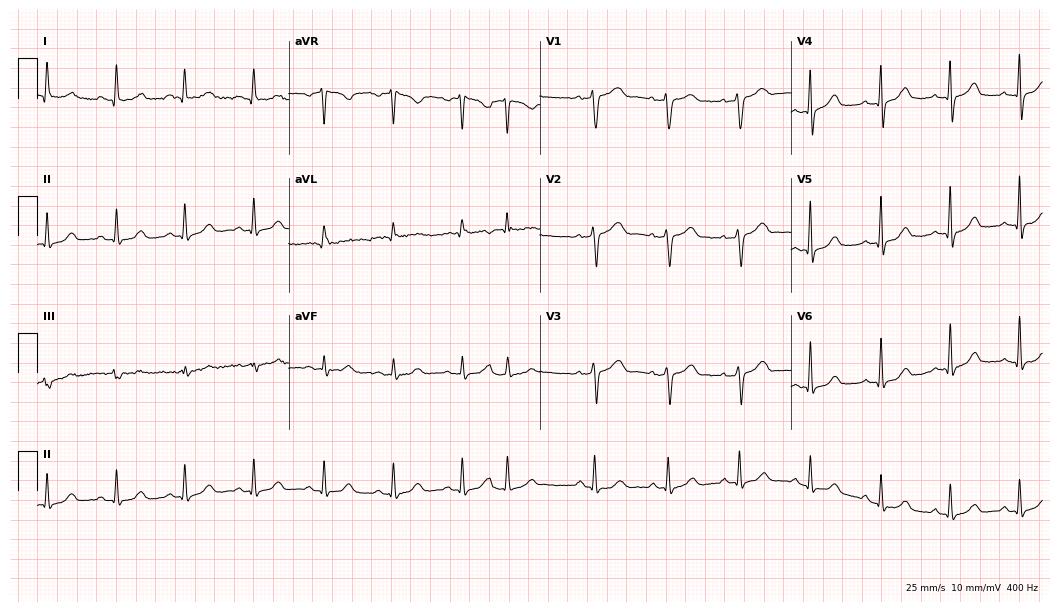
Standard 12-lead ECG recorded from a 56-year-old female patient (10.2-second recording at 400 Hz). None of these six findings is recorded: first-degree AV block, right bundle branch block (RBBB), left bundle branch block (LBBB), sinus bradycardia, atrial fibrillation (AF), sinus tachycardia.